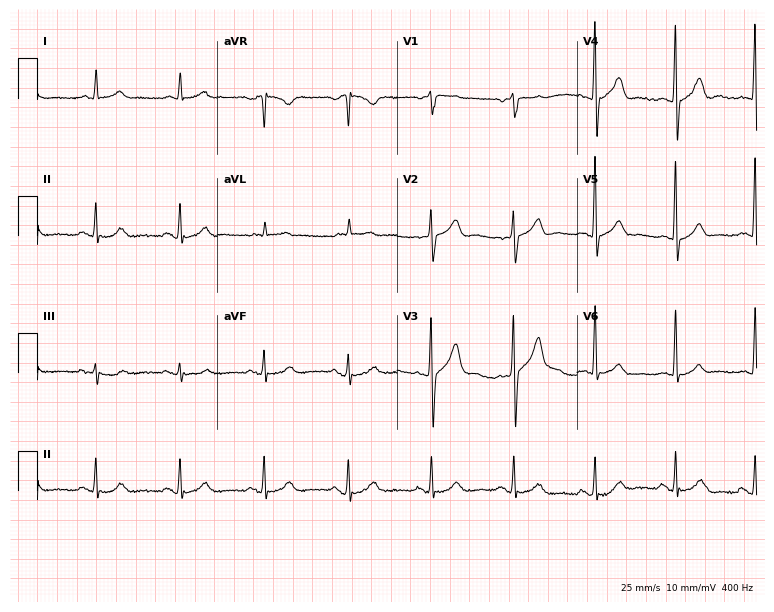
12-lead ECG from a male patient, 68 years old (7.3-second recording at 400 Hz). No first-degree AV block, right bundle branch block, left bundle branch block, sinus bradycardia, atrial fibrillation or sinus tachycardia recorded for this tracing. Other findings, if any, are not listed.